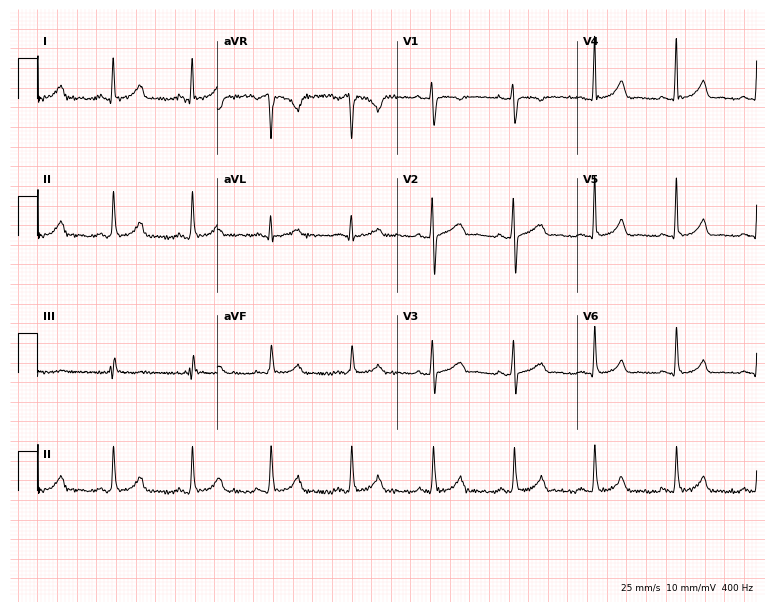
12-lead ECG from a female patient, 29 years old. No first-degree AV block, right bundle branch block, left bundle branch block, sinus bradycardia, atrial fibrillation or sinus tachycardia recorded for this tracing.